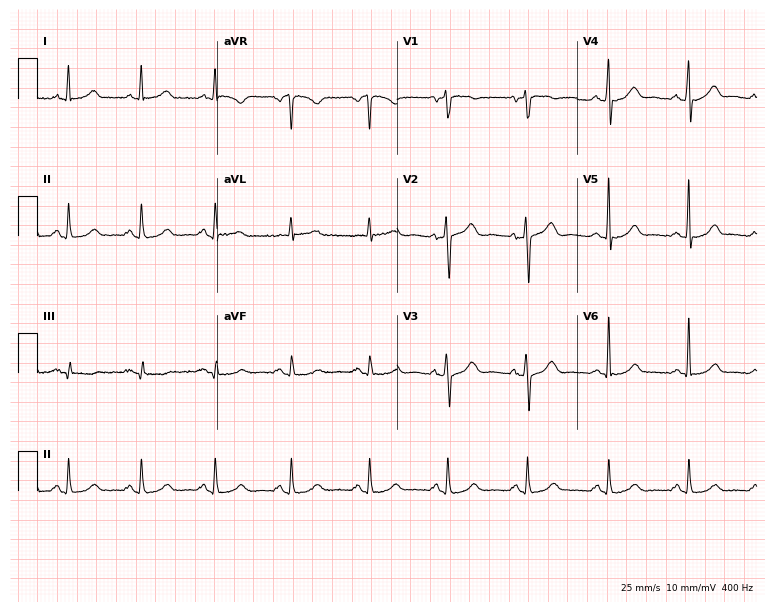
Electrocardiogram, a woman, 60 years old. Overall reading on record: normal ECG.